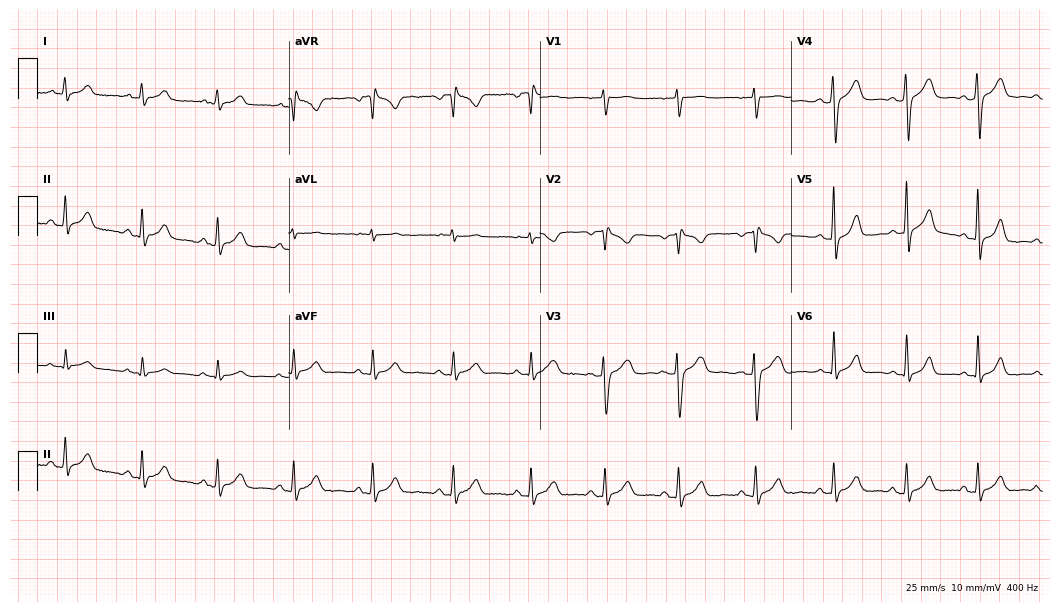
Standard 12-lead ECG recorded from a 31-year-old female. None of these six findings is recorded: first-degree AV block, right bundle branch block, left bundle branch block, sinus bradycardia, atrial fibrillation, sinus tachycardia.